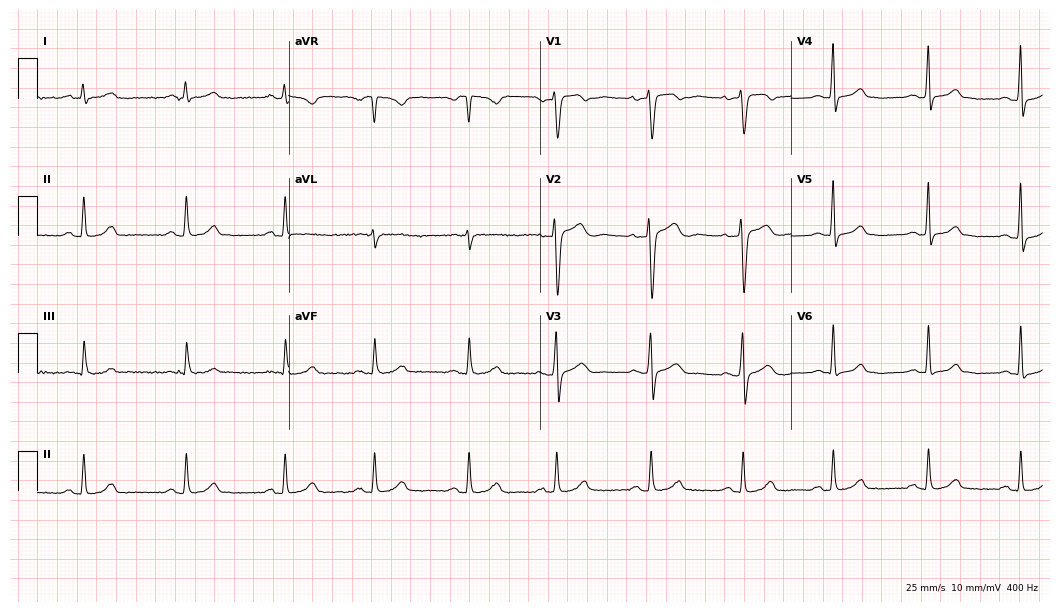
Electrocardiogram, a woman, 18 years old. Overall reading on record: normal ECG.